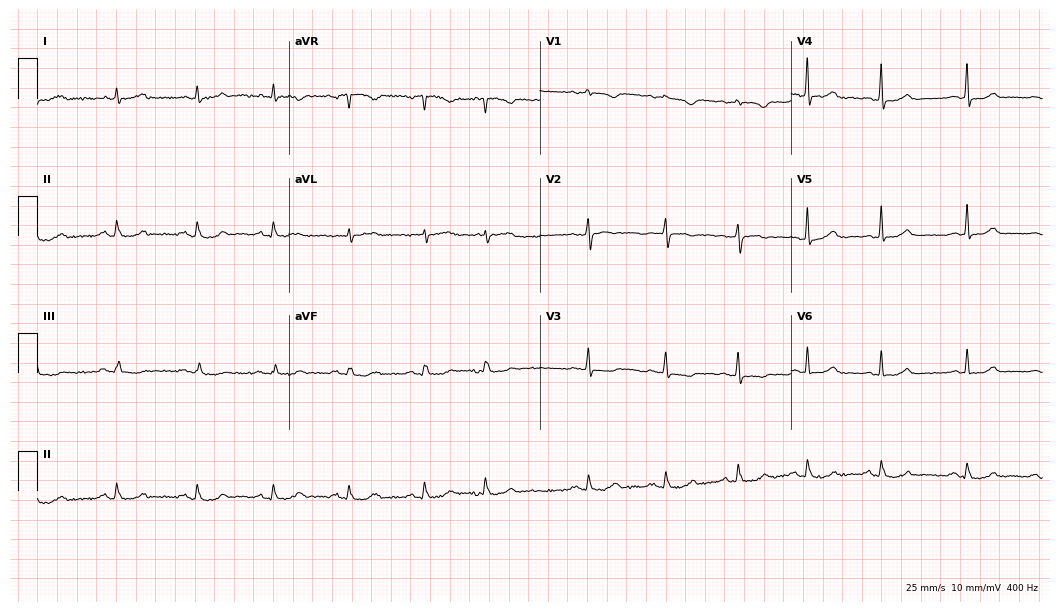
Electrocardiogram (10.2-second recording at 400 Hz), a woman, 61 years old. Of the six screened findings (first-degree AV block, right bundle branch block (RBBB), left bundle branch block (LBBB), sinus bradycardia, atrial fibrillation (AF), sinus tachycardia), none is recorded. Findings outside these six are not listed.